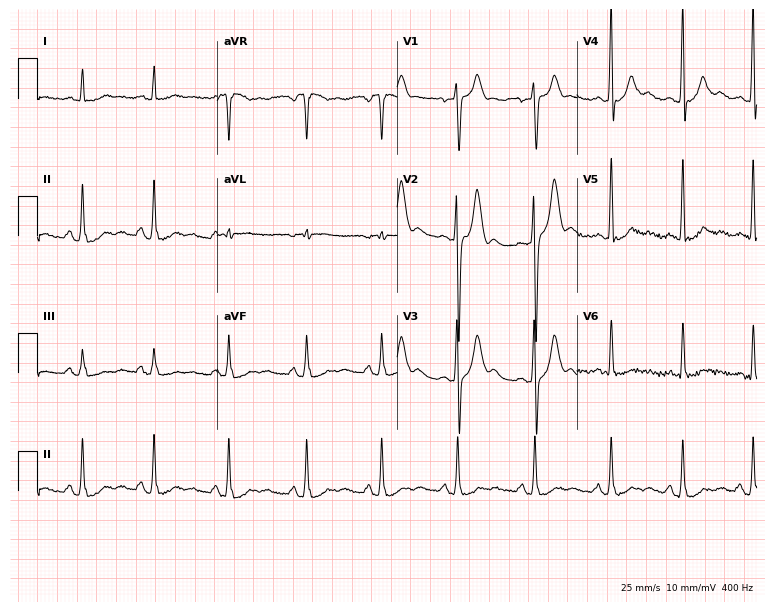
12-lead ECG (7.3-second recording at 400 Hz) from a man, 31 years old. Screened for six findings — first-degree AV block, right bundle branch block (RBBB), left bundle branch block (LBBB), sinus bradycardia, atrial fibrillation (AF), sinus tachycardia — none is recorded. Findings outside these six are not listed.